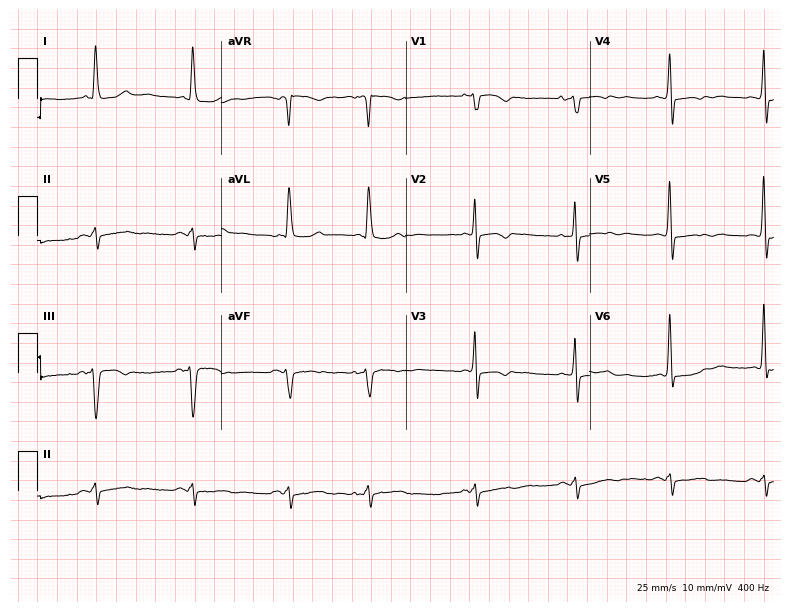
12-lead ECG from an 83-year-old female. No first-degree AV block, right bundle branch block, left bundle branch block, sinus bradycardia, atrial fibrillation or sinus tachycardia recorded for this tracing.